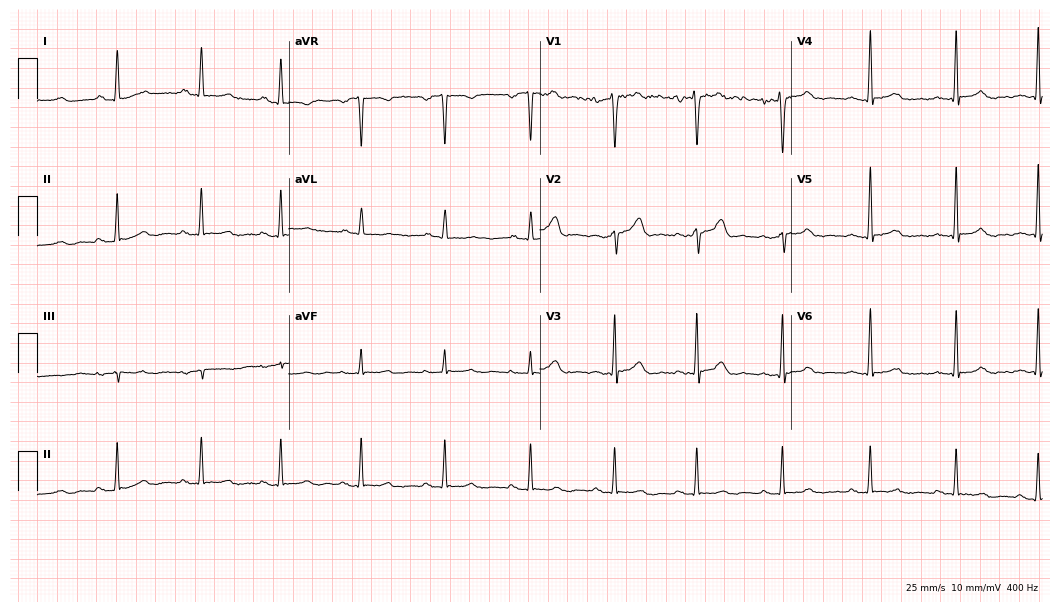
12-lead ECG from a woman, 42 years old. Recorded interpretation: within normal limits.